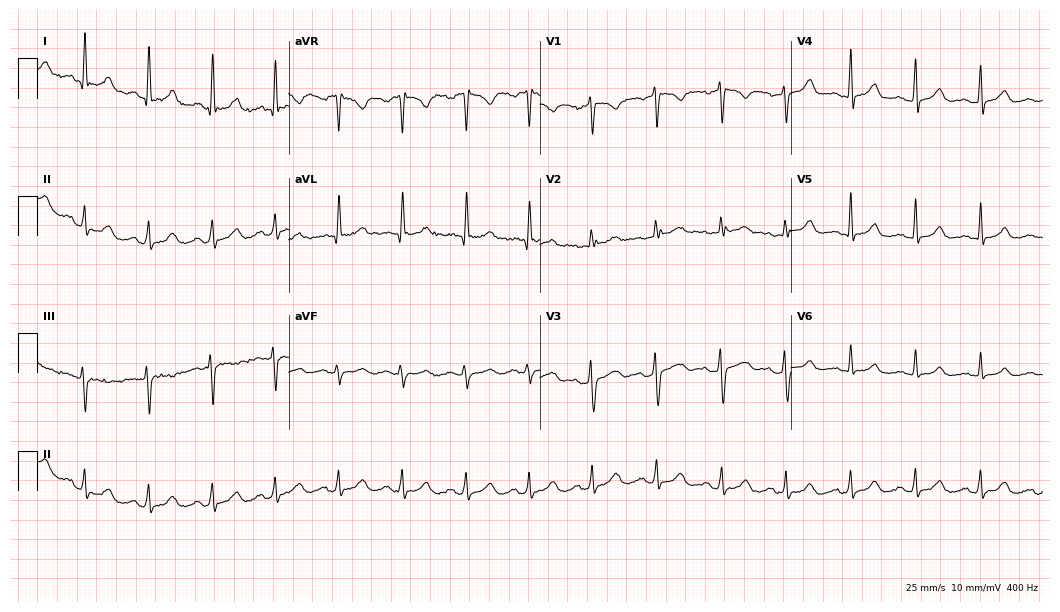
Standard 12-lead ECG recorded from a female, 45 years old (10.2-second recording at 400 Hz). Read as a normal ECG.